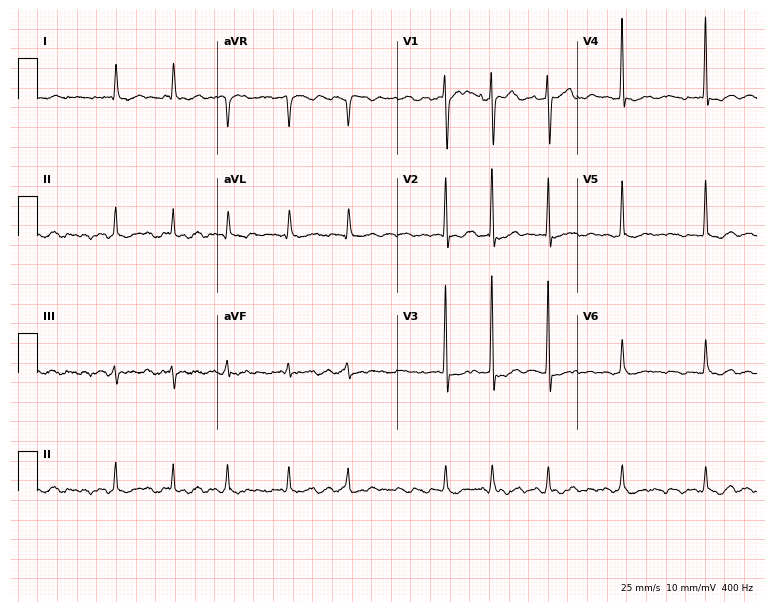
ECG — an 82-year-old female. Findings include atrial fibrillation (AF).